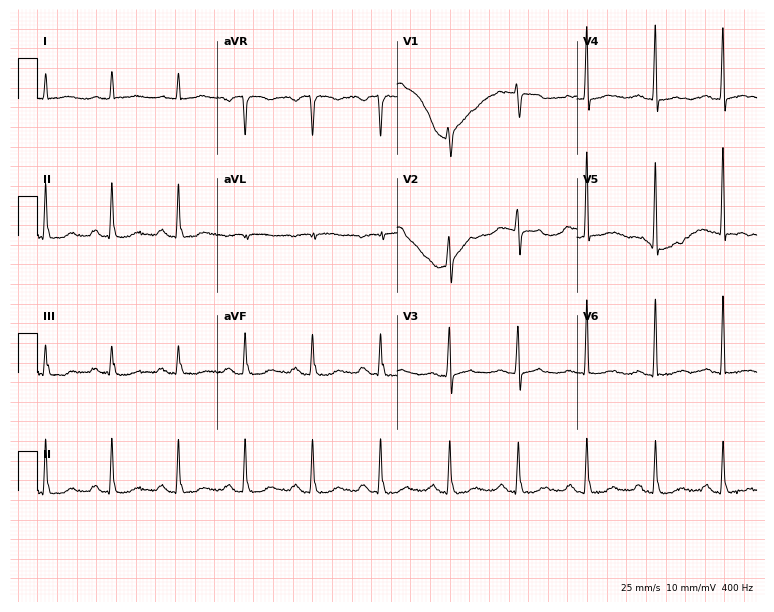
Resting 12-lead electrocardiogram (7.3-second recording at 400 Hz). Patient: a female, 69 years old. None of these six findings is recorded: first-degree AV block, right bundle branch block (RBBB), left bundle branch block (LBBB), sinus bradycardia, atrial fibrillation (AF), sinus tachycardia.